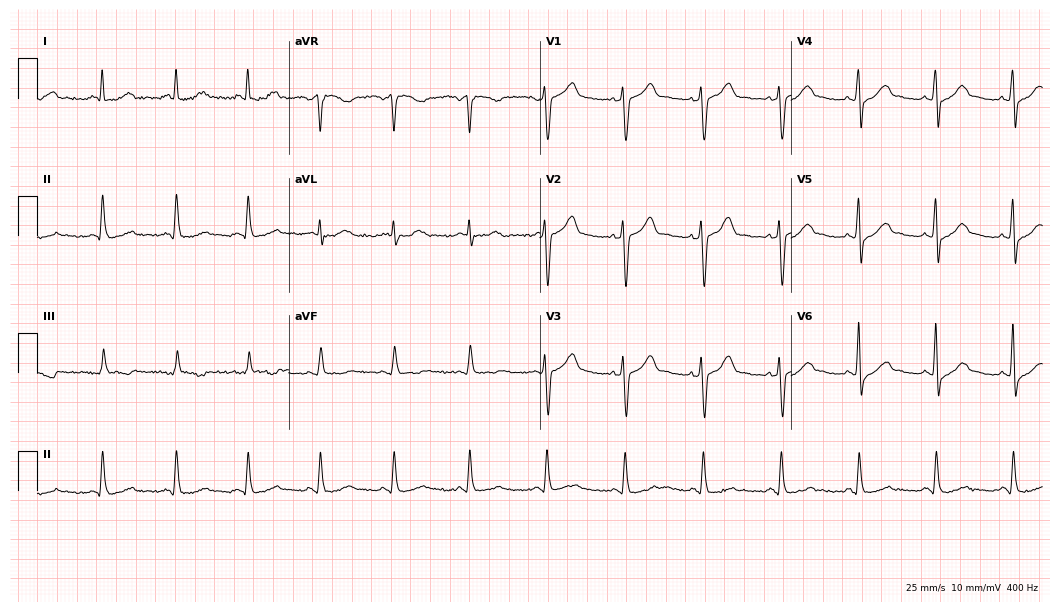
Electrocardiogram, a 44-year-old male patient. Of the six screened findings (first-degree AV block, right bundle branch block, left bundle branch block, sinus bradycardia, atrial fibrillation, sinus tachycardia), none is recorded.